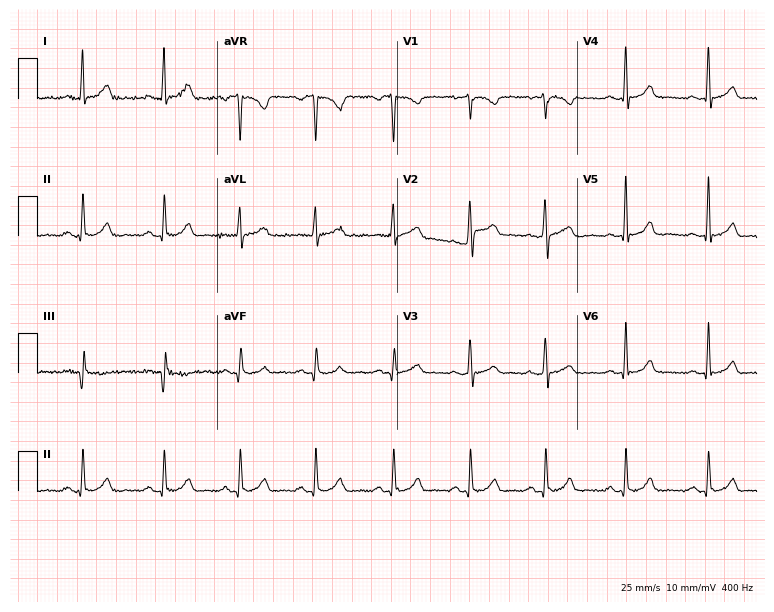
Standard 12-lead ECG recorded from a female, 34 years old (7.3-second recording at 400 Hz). Read as a normal ECG.